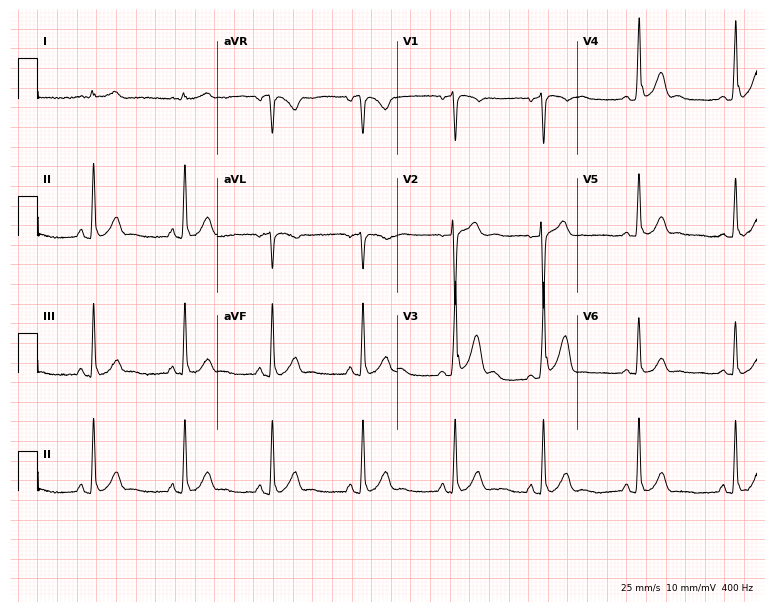
12-lead ECG from a 36-year-old male. Labelled as a normal ECG.